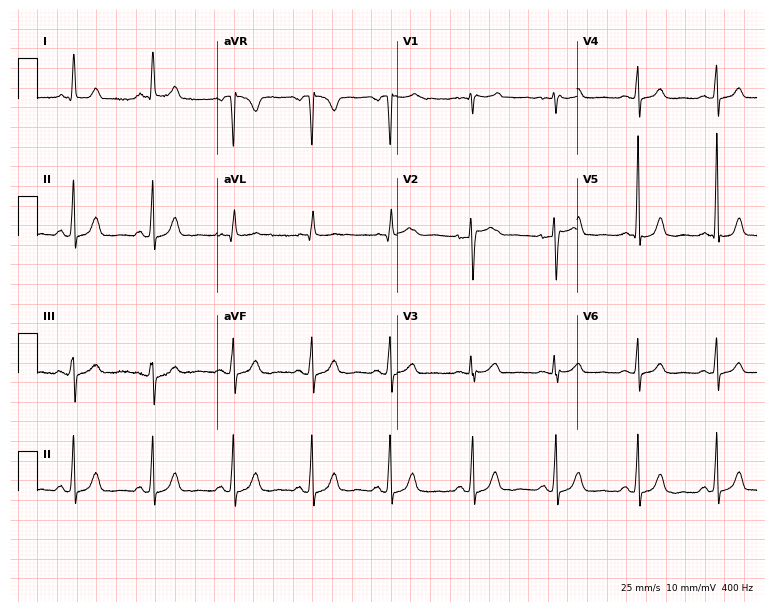
12-lead ECG (7.3-second recording at 400 Hz) from a 46-year-old woman. Screened for six findings — first-degree AV block, right bundle branch block (RBBB), left bundle branch block (LBBB), sinus bradycardia, atrial fibrillation (AF), sinus tachycardia — none is recorded.